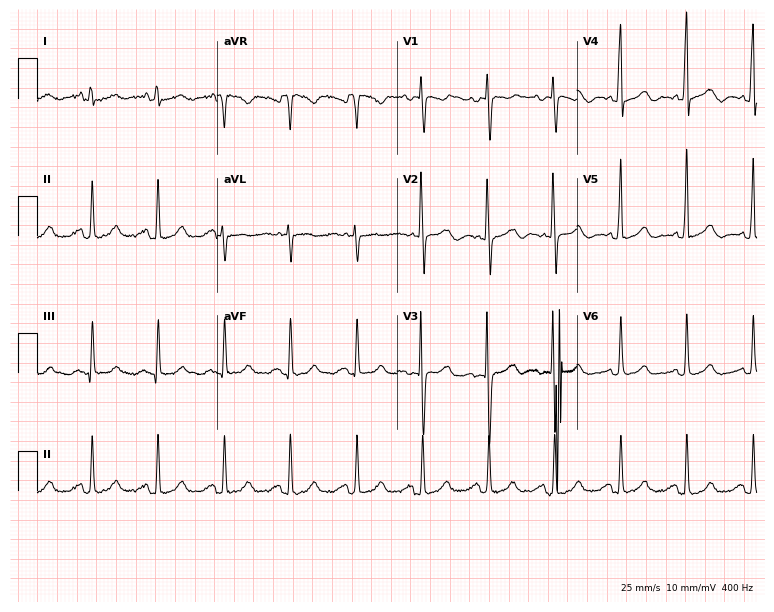
12-lead ECG from a 40-year-old female. Recorded interpretation: within normal limits.